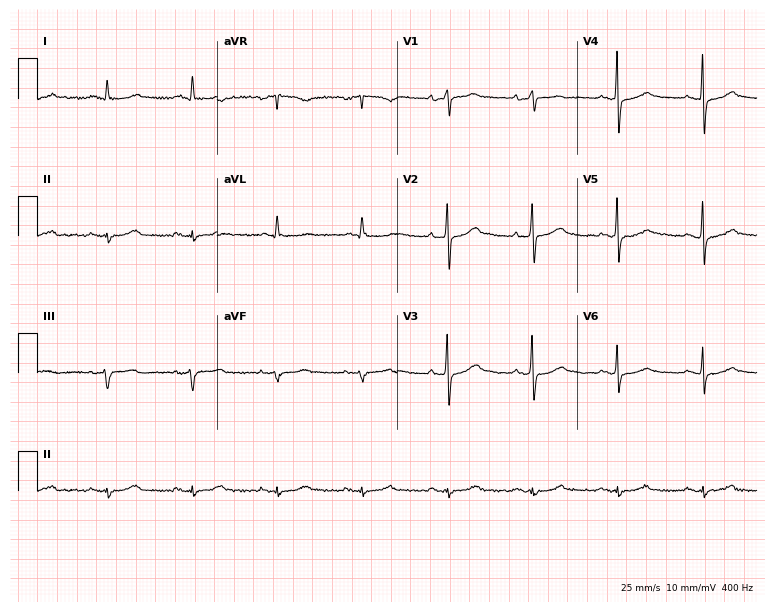
Resting 12-lead electrocardiogram. Patient: a male, 82 years old. Read as a normal ECG.